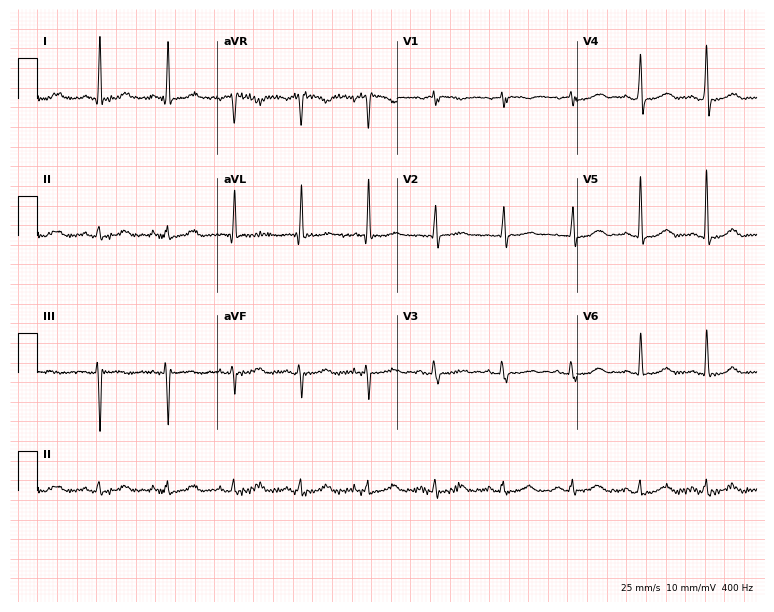
Resting 12-lead electrocardiogram (7.3-second recording at 400 Hz). Patient: a female, 68 years old. Read as a normal ECG.